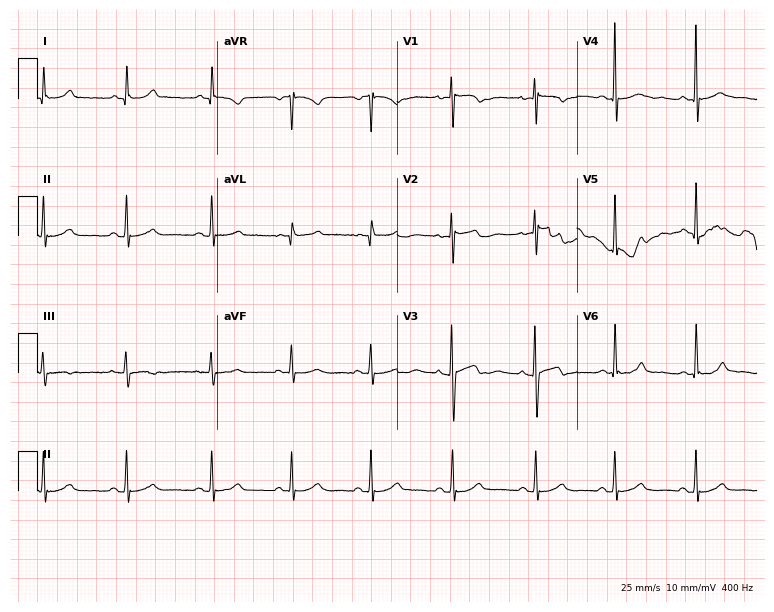
12-lead ECG from a 49-year-old female patient. No first-degree AV block, right bundle branch block, left bundle branch block, sinus bradycardia, atrial fibrillation or sinus tachycardia recorded for this tracing.